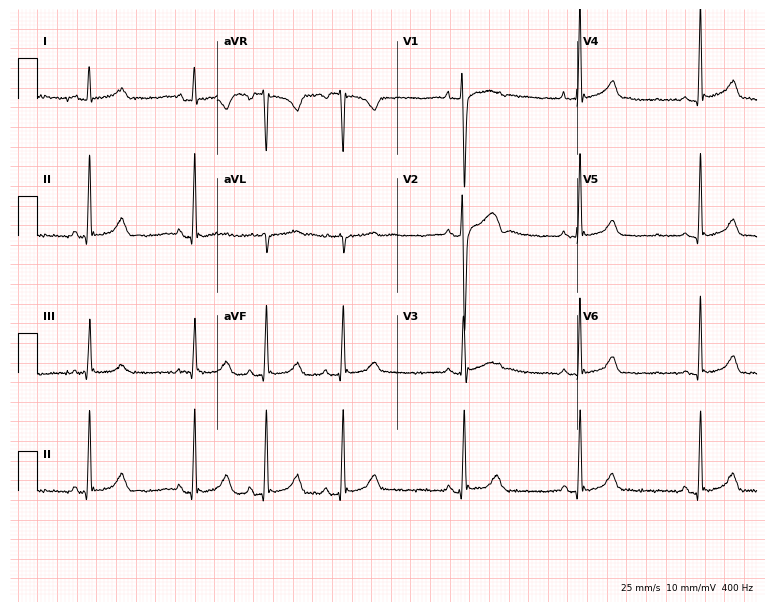
Resting 12-lead electrocardiogram (7.3-second recording at 400 Hz). Patient: a man, 18 years old. None of these six findings is recorded: first-degree AV block, right bundle branch block, left bundle branch block, sinus bradycardia, atrial fibrillation, sinus tachycardia. Findings outside these six are not listed.